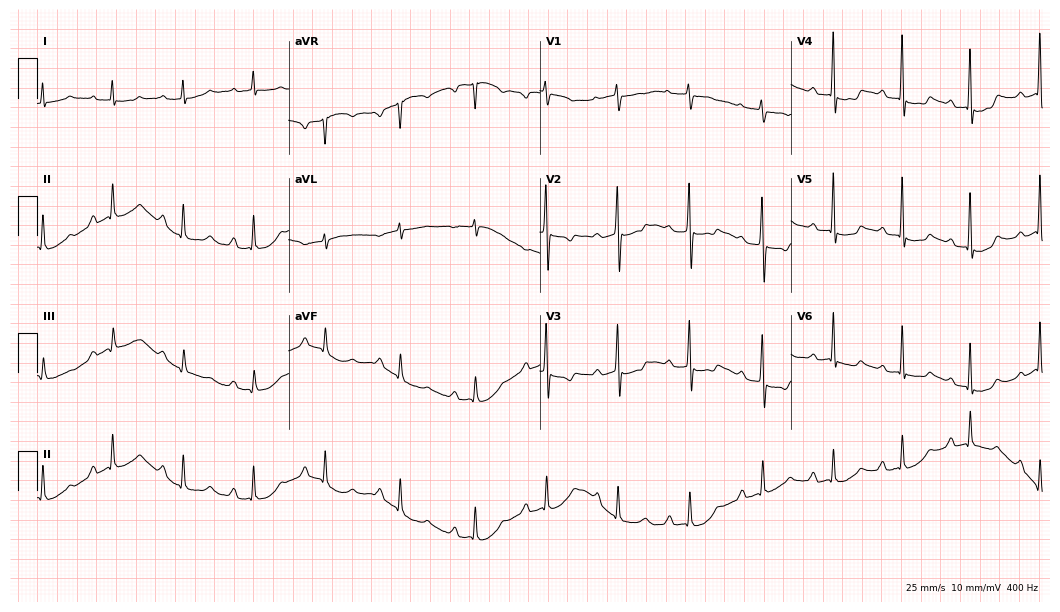
Standard 12-lead ECG recorded from an 80-year-old woman. The tracing shows first-degree AV block.